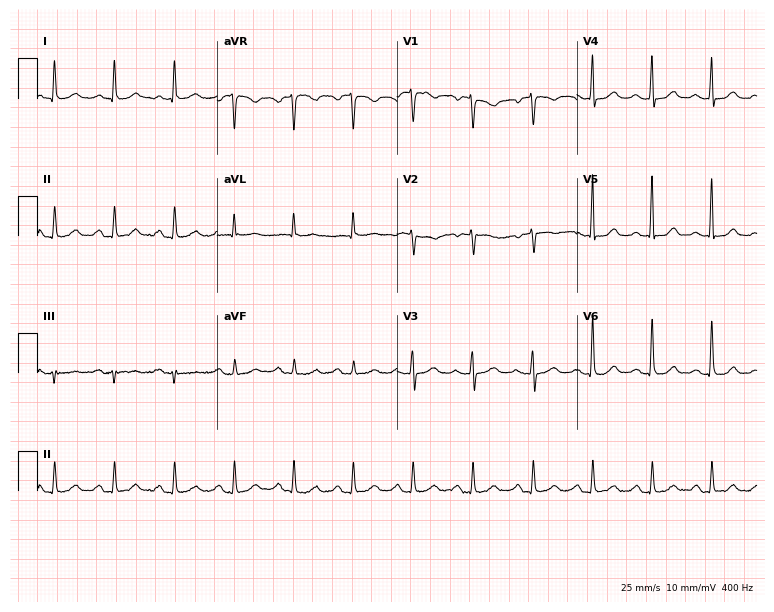
ECG — a 61-year-old woman. Screened for six findings — first-degree AV block, right bundle branch block (RBBB), left bundle branch block (LBBB), sinus bradycardia, atrial fibrillation (AF), sinus tachycardia — none is recorded. Only these six findings were labelled.